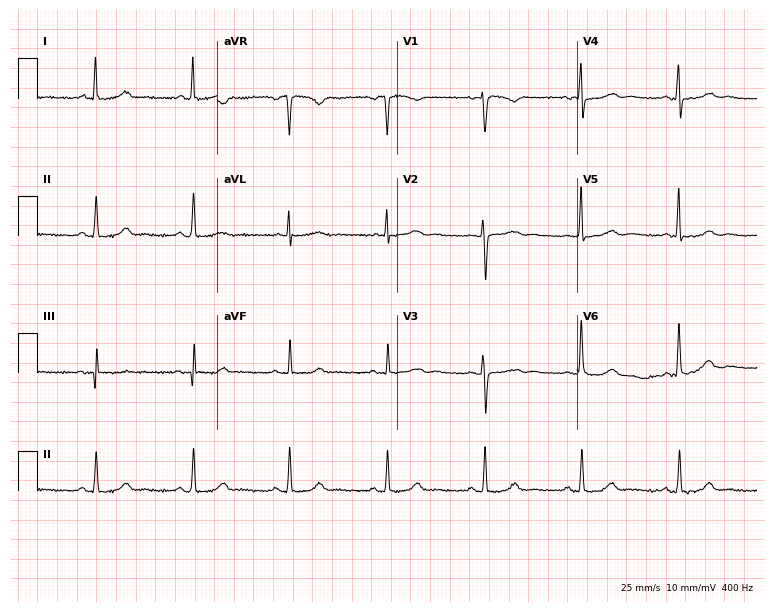
ECG (7.3-second recording at 400 Hz) — a 48-year-old female. Labelled as a normal ECG.